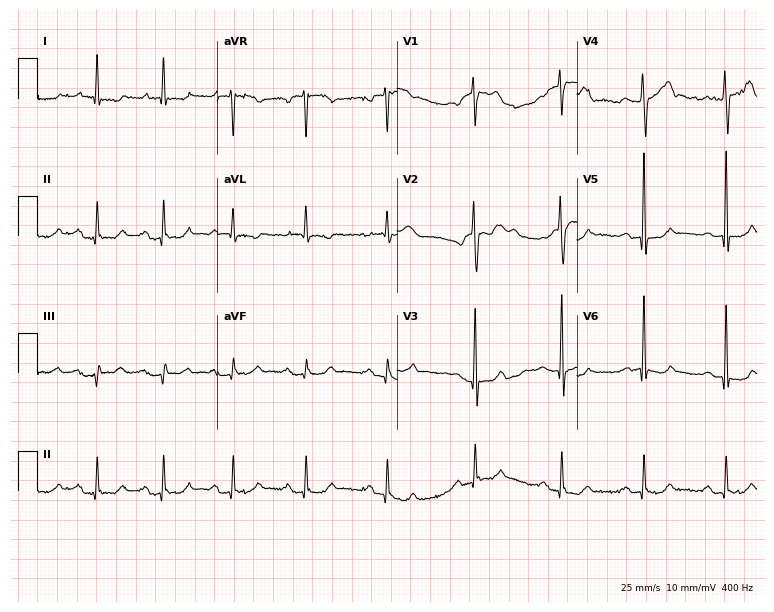
Resting 12-lead electrocardiogram (7.3-second recording at 400 Hz). Patient: a 68-year-old man. None of these six findings is recorded: first-degree AV block, right bundle branch block, left bundle branch block, sinus bradycardia, atrial fibrillation, sinus tachycardia.